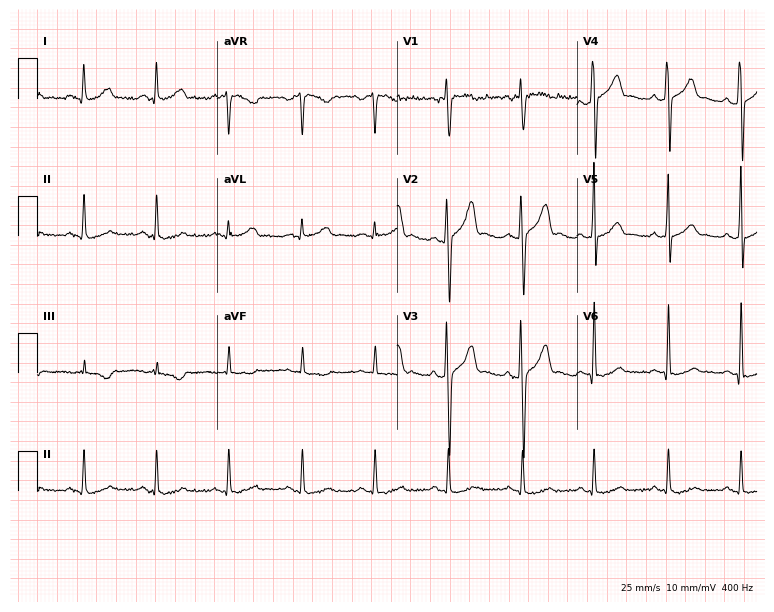
ECG (7.3-second recording at 400 Hz) — a 26-year-old male. Labelled as a normal ECG.